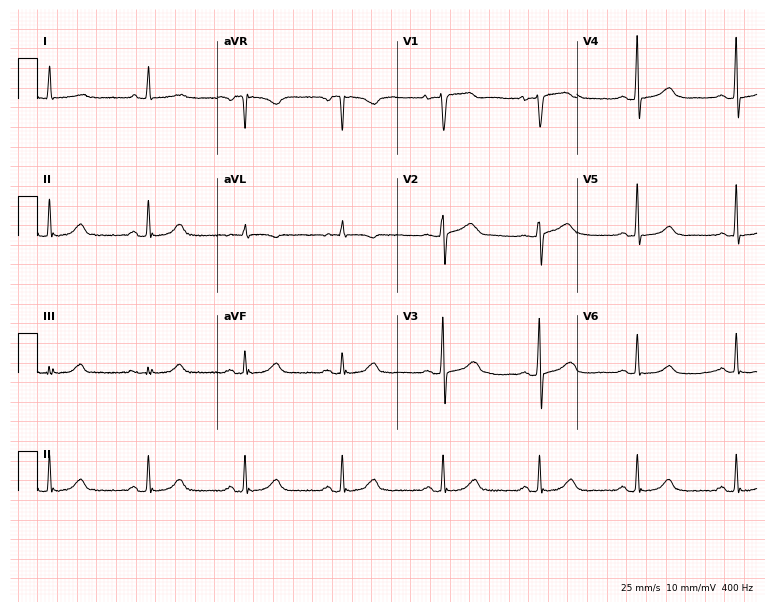
12-lead ECG from a 63-year-old female. Screened for six findings — first-degree AV block, right bundle branch block, left bundle branch block, sinus bradycardia, atrial fibrillation, sinus tachycardia — none is recorded.